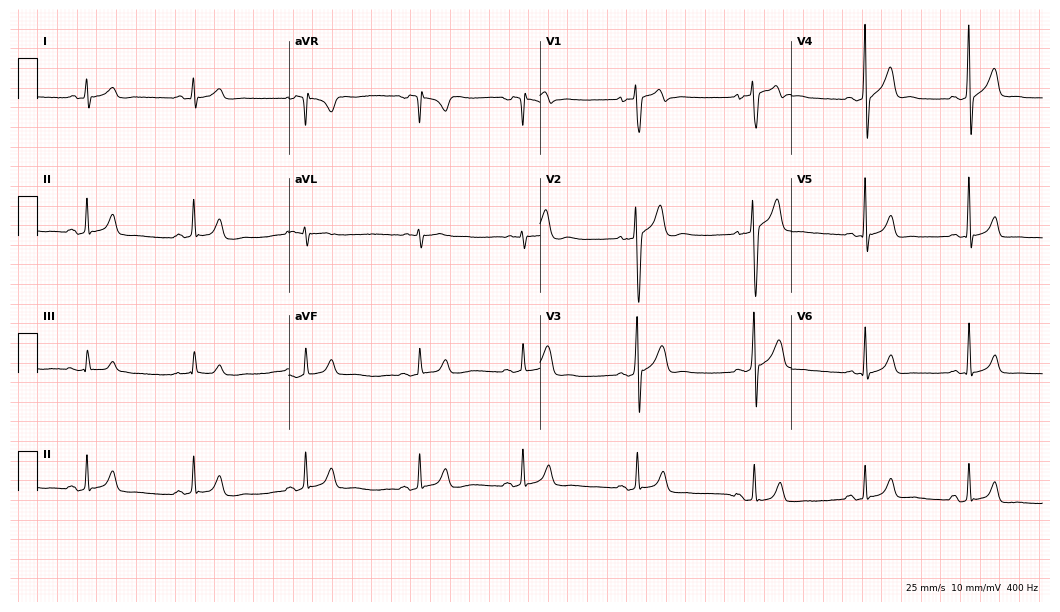
12-lead ECG (10.2-second recording at 400 Hz) from a male, 19 years old. Screened for six findings — first-degree AV block, right bundle branch block, left bundle branch block, sinus bradycardia, atrial fibrillation, sinus tachycardia — none is recorded.